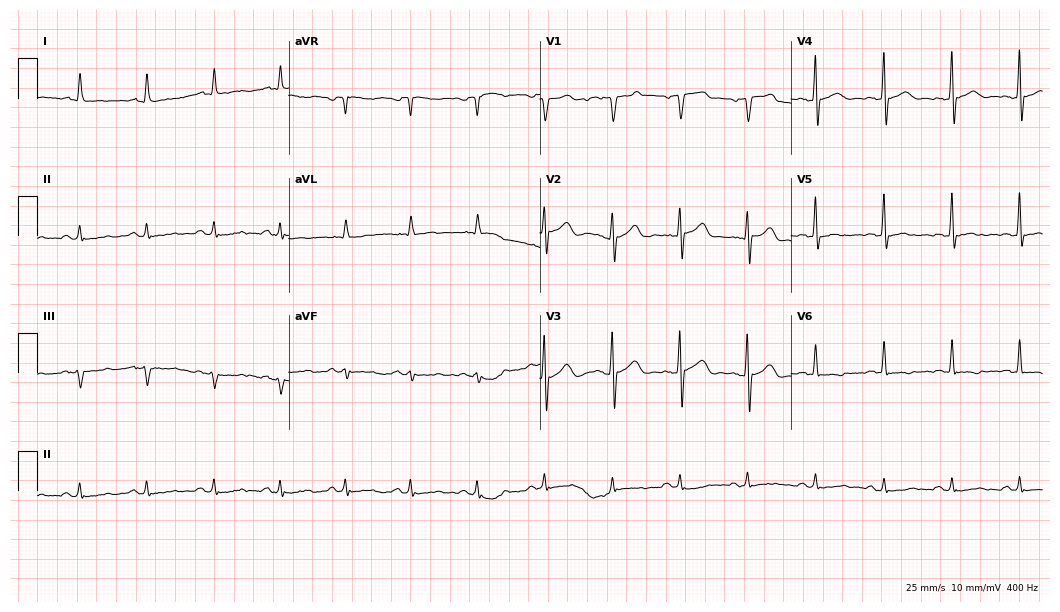
12-lead ECG from a male, 47 years old. No first-degree AV block, right bundle branch block, left bundle branch block, sinus bradycardia, atrial fibrillation or sinus tachycardia recorded for this tracing.